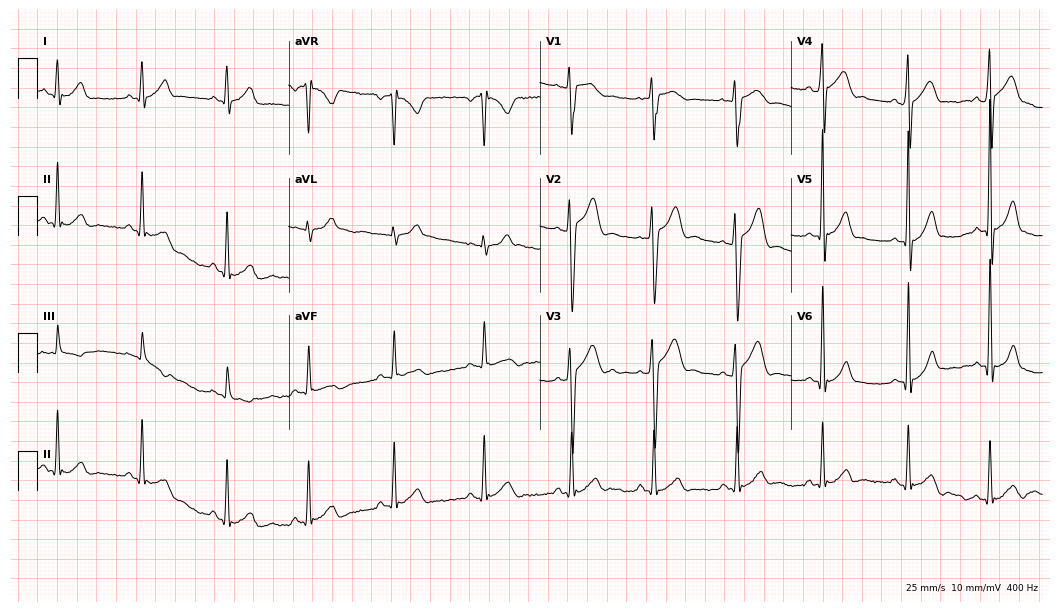
ECG — a male patient, 19 years old. Labelled as a normal ECG.